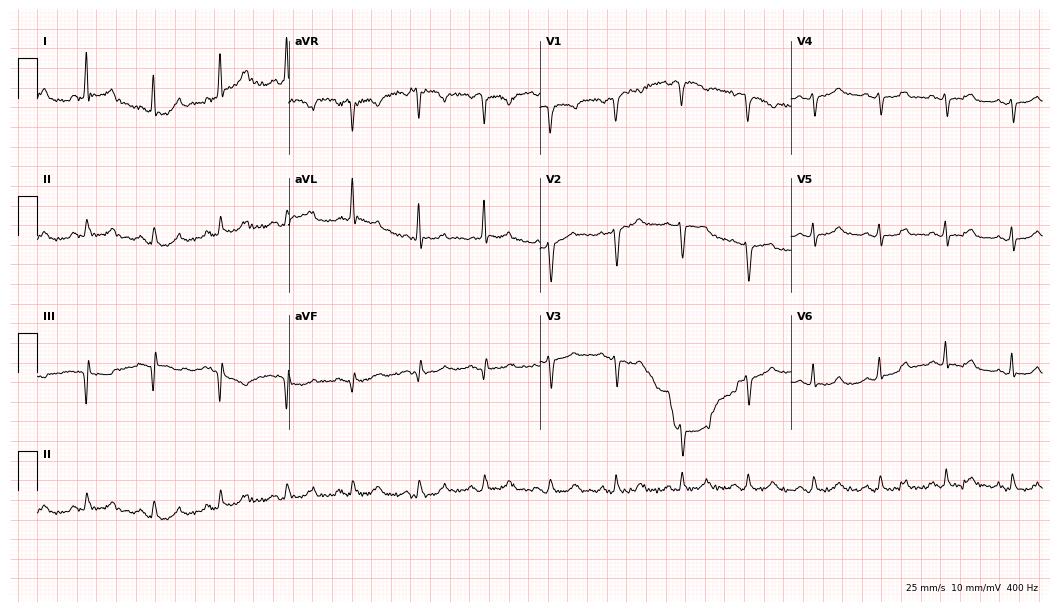
12-lead ECG from an 85-year-old female patient. No first-degree AV block, right bundle branch block, left bundle branch block, sinus bradycardia, atrial fibrillation or sinus tachycardia recorded for this tracing. Only these six findings were labelled.